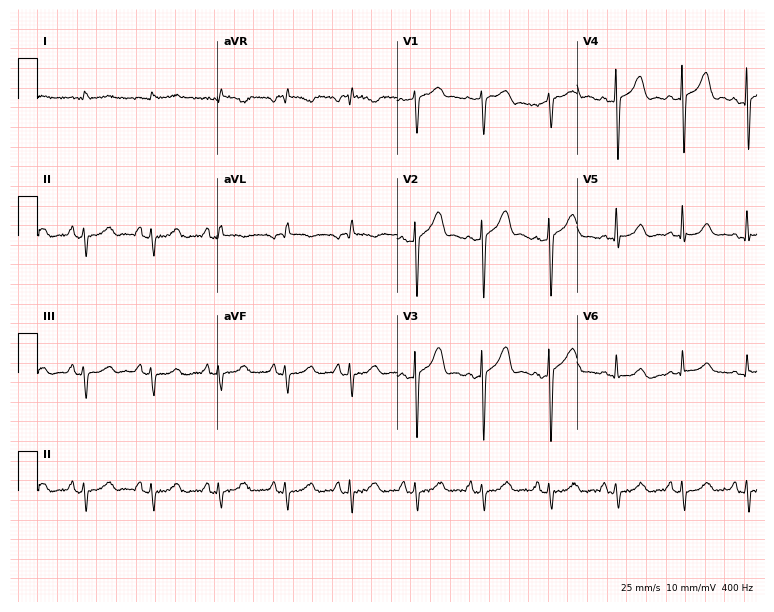
Electrocardiogram (7.3-second recording at 400 Hz), a 76-year-old male. Of the six screened findings (first-degree AV block, right bundle branch block, left bundle branch block, sinus bradycardia, atrial fibrillation, sinus tachycardia), none is recorded. Findings outside these six are not listed.